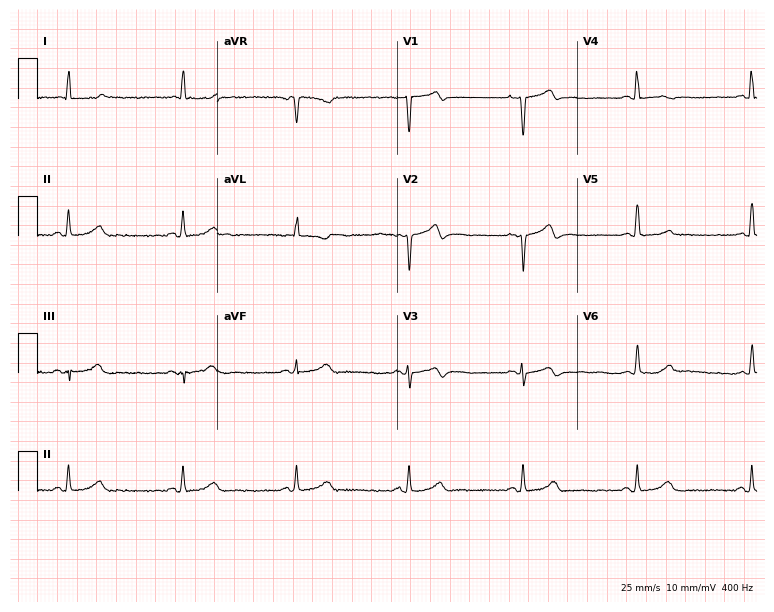
12-lead ECG (7.3-second recording at 400 Hz) from a female, 78 years old. Screened for six findings — first-degree AV block, right bundle branch block, left bundle branch block, sinus bradycardia, atrial fibrillation, sinus tachycardia — none is recorded. Only these six findings were labelled.